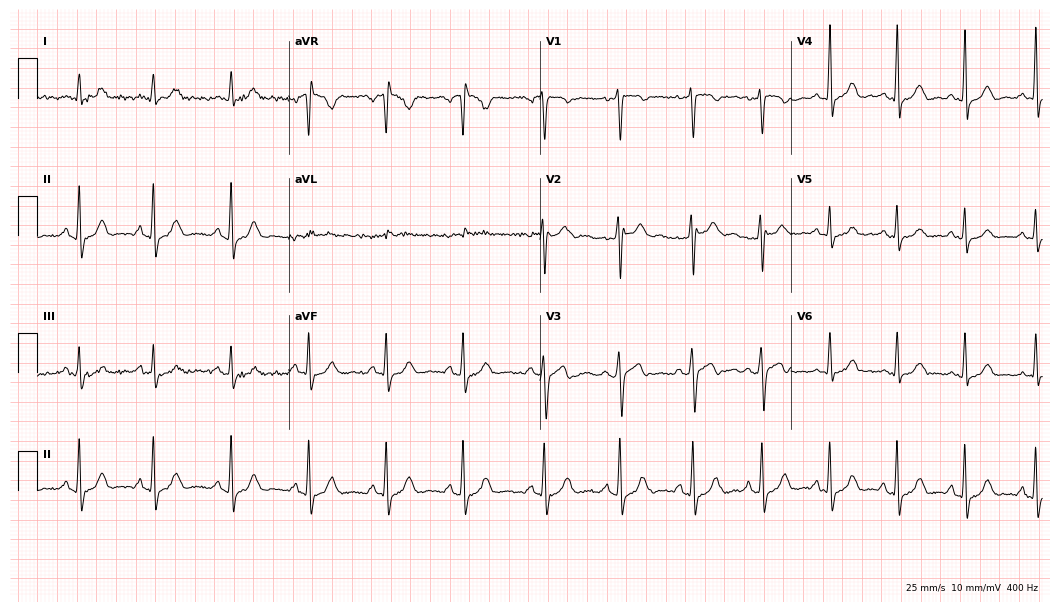
Standard 12-lead ECG recorded from a 21-year-old male patient (10.2-second recording at 400 Hz). Read as a normal ECG.